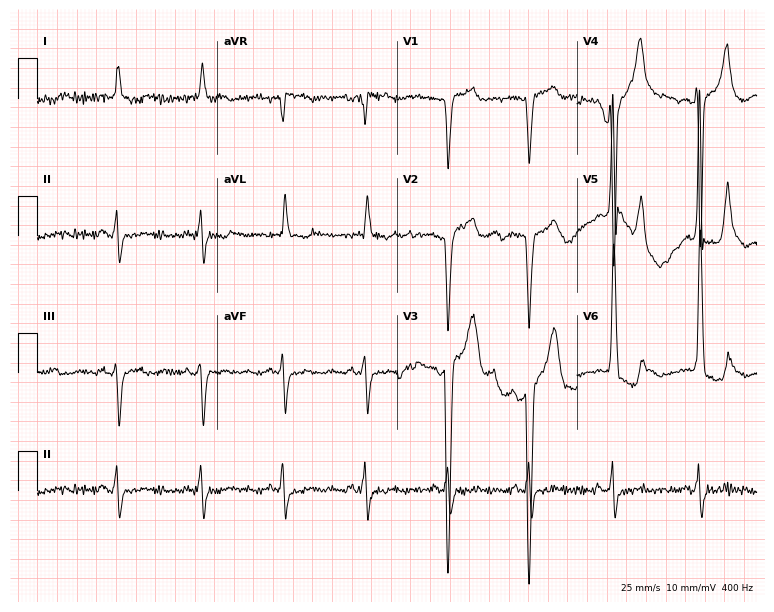
12-lead ECG from a male, 85 years old. No first-degree AV block, right bundle branch block, left bundle branch block, sinus bradycardia, atrial fibrillation or sinus tachycardia recorded for this tracing.